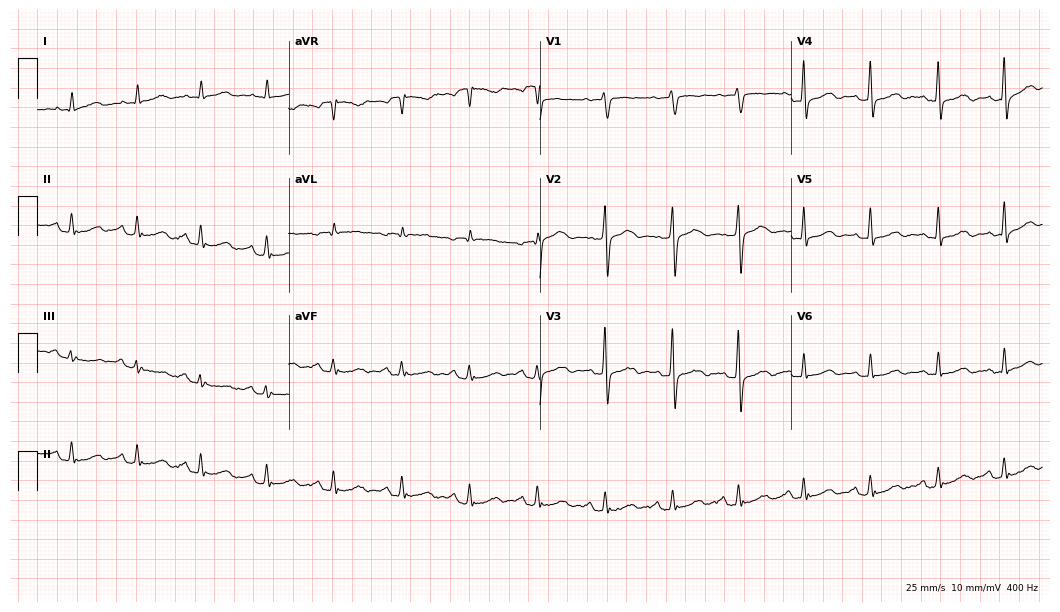
Resting 12-lead electrocardiogram (10.2-second recording at 400 Hz). Patient: a male, 70 years old. Read as a normal ECG.